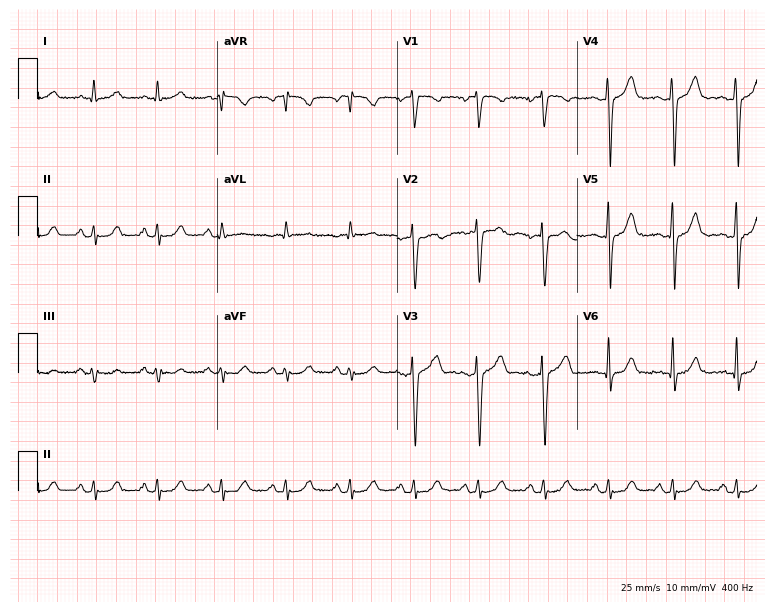
12-lead ECG (7.3-second recording at 400 Hz) from a male, 55 years old. Labelled as a normal ECG.